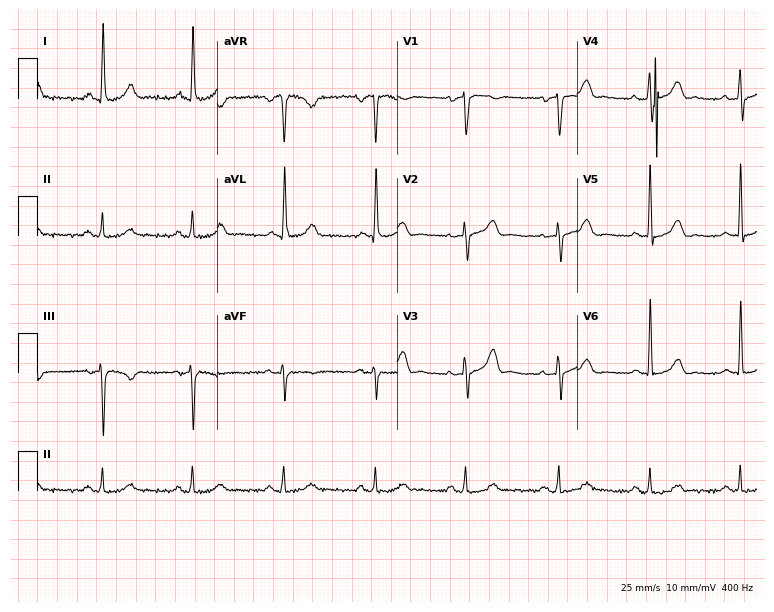
12-lead ECG (7.3-second recording at 400 Hz) from a woman, 79 years old. Screened for six findings — first-degree AV block, right bundle branch block, left bundle branch block, sinus bradycardia, atrial fibrillation, sinus tachycardia — none is recorded. Only these six findings were labelled.